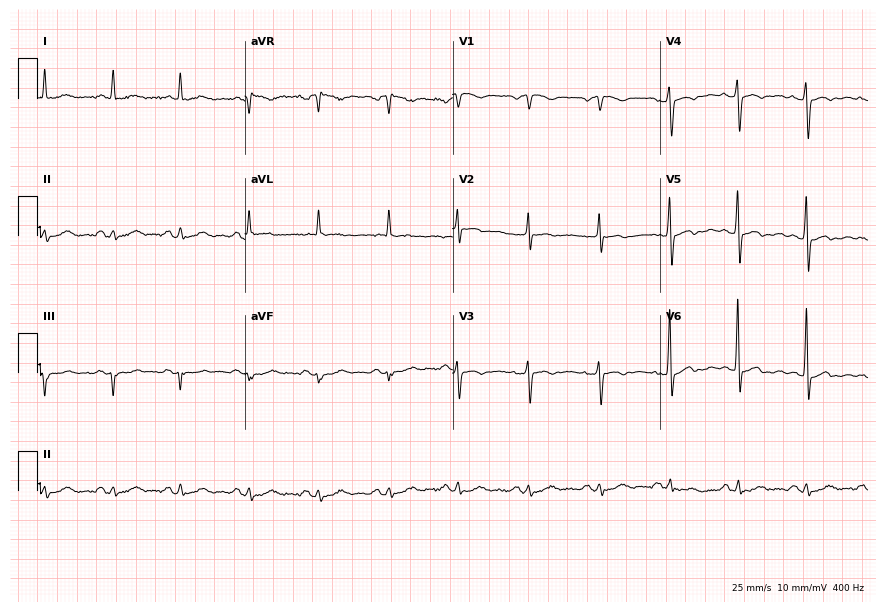
12-lead ECG from a 75-year-old man. Screened for six findings — first-degree AV block, right bundle branch block (RBBB), left bundle branch block (LBBB), sinus bradycardia, atrial fibrillation (AF), sinus tachycardia — none is recorded.